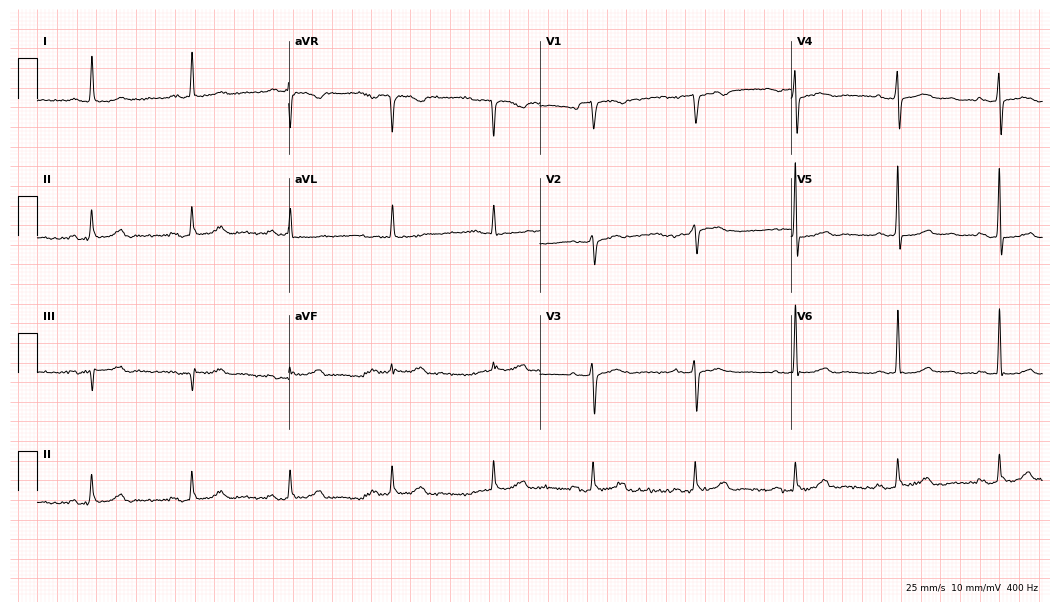
Standard 12-lead ECG recorded from a 72-year-old female patient. Read as a normal ECG.